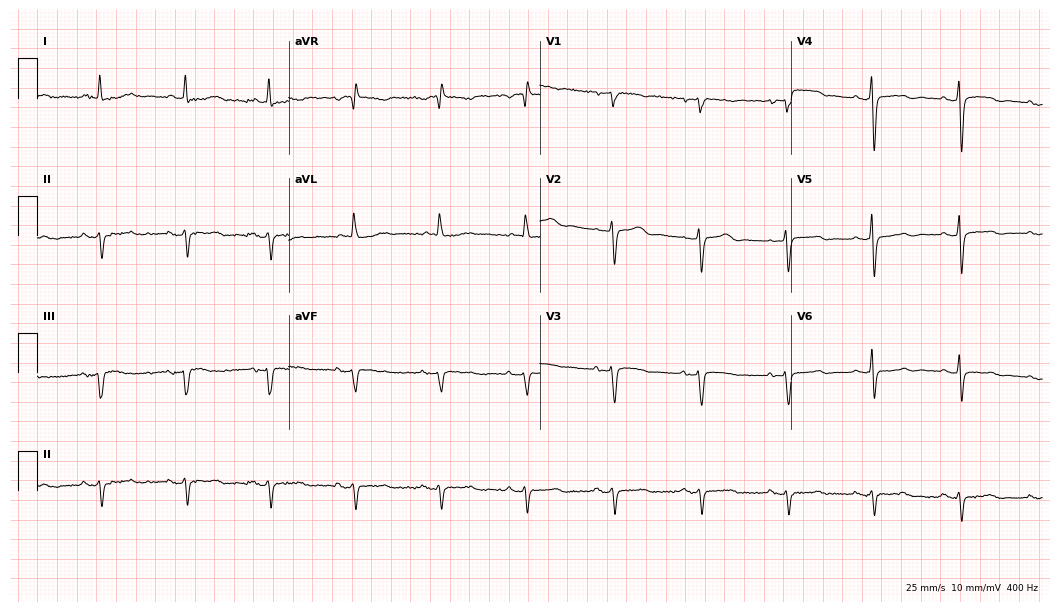
Standard 12-lead ECG recorded from a female, 59 years old. None of these six findings is recorded: first-degree AV block, right bundle branch block, left bundle branch block, sinus bradycardia, atrial fibrillation, sinus tachycardia. Only these six findings were labelled.